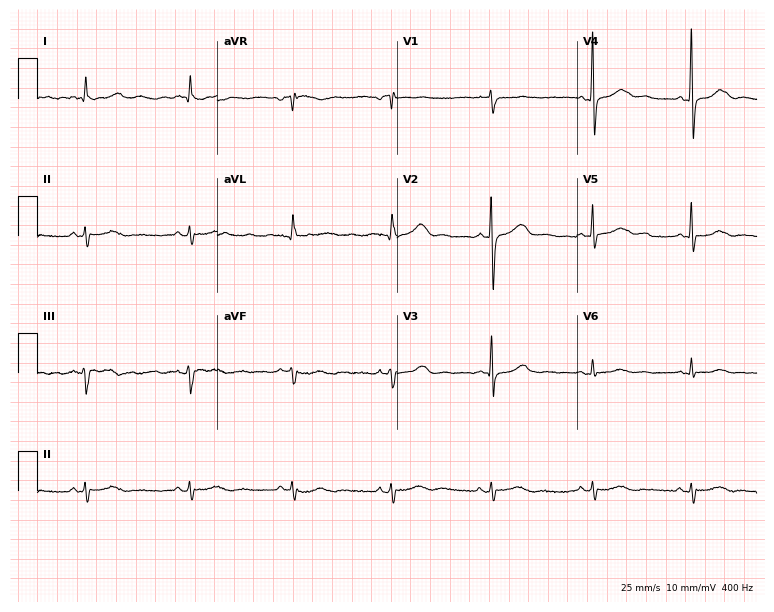
12-lead ECG (7.3-second recording at 400 Hz) from a male, 63 years old. Labelled as a normal ECG.